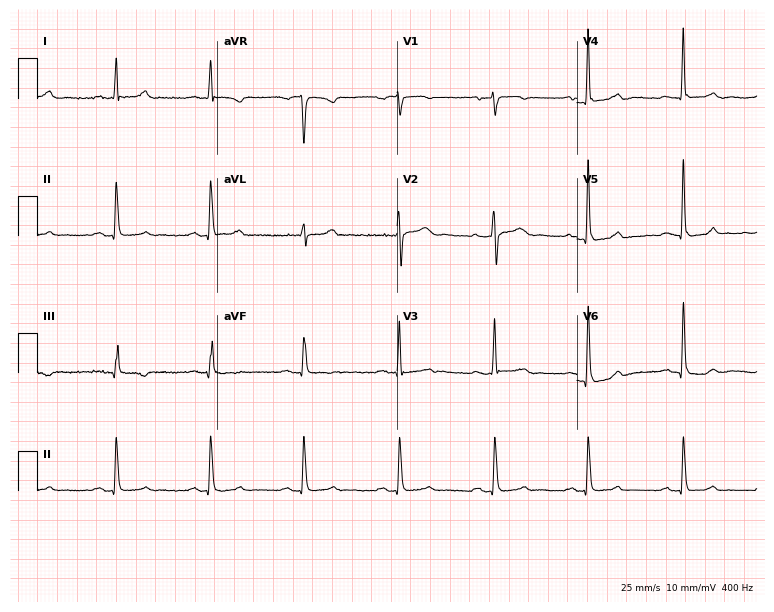
12-lead ECG from a male, 61 years old (7.3-second recording at 400 Hz). Recorded interpretation: within normal limits.